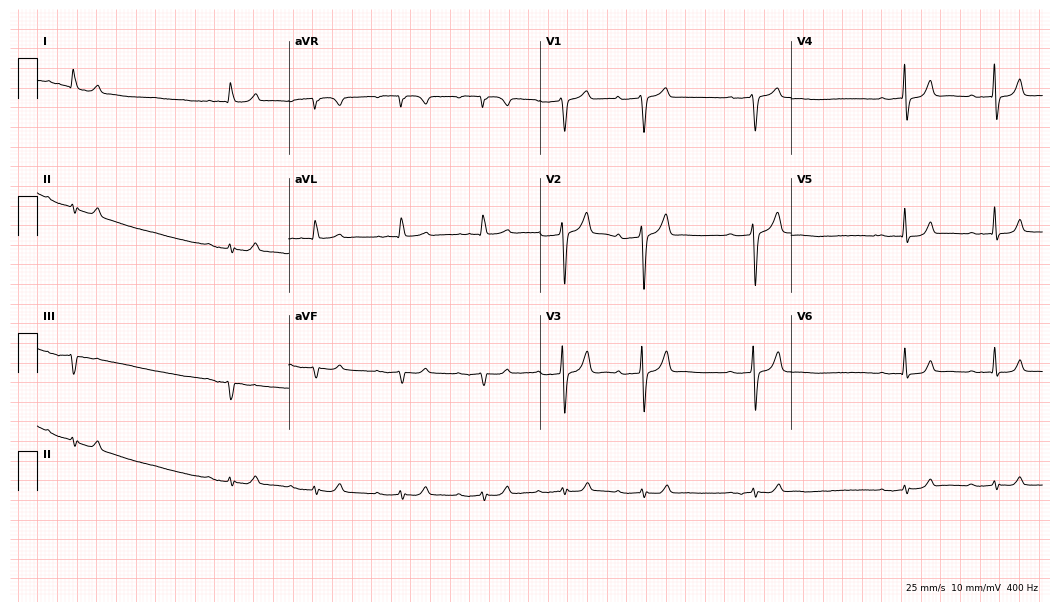
ECG (10.2-second recording at 400 Hz) — an 83-year-old man. Screened for six findings — first-degree AV block, right bundle branch block, left bundle branch block, sinus bradycardia, atrial fibrillation, sinus tachycardia — none is recorded.